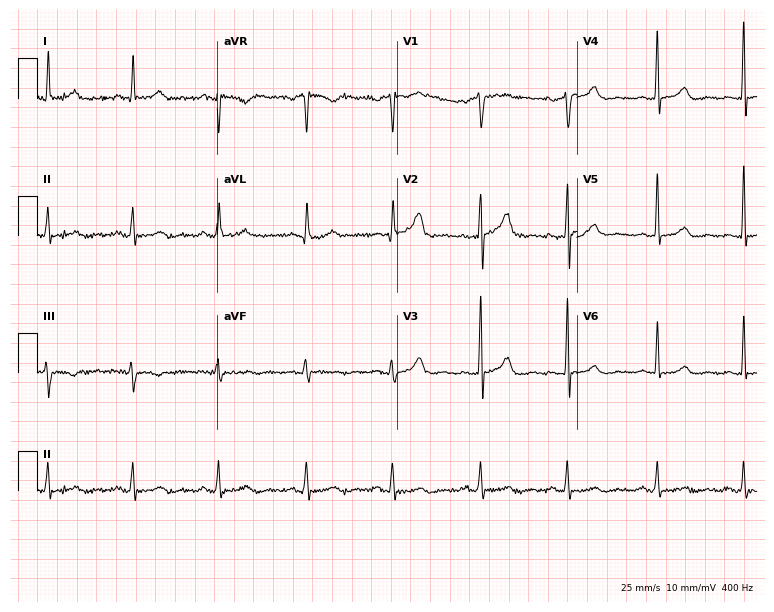
12-lead ECG from a 58-year-old male patient. No first-degree AV block, right bundle branch block, left bundle branch block, sinus bradycardia, atrial fibrillation or sinus tachycardia recorded for this tracing.